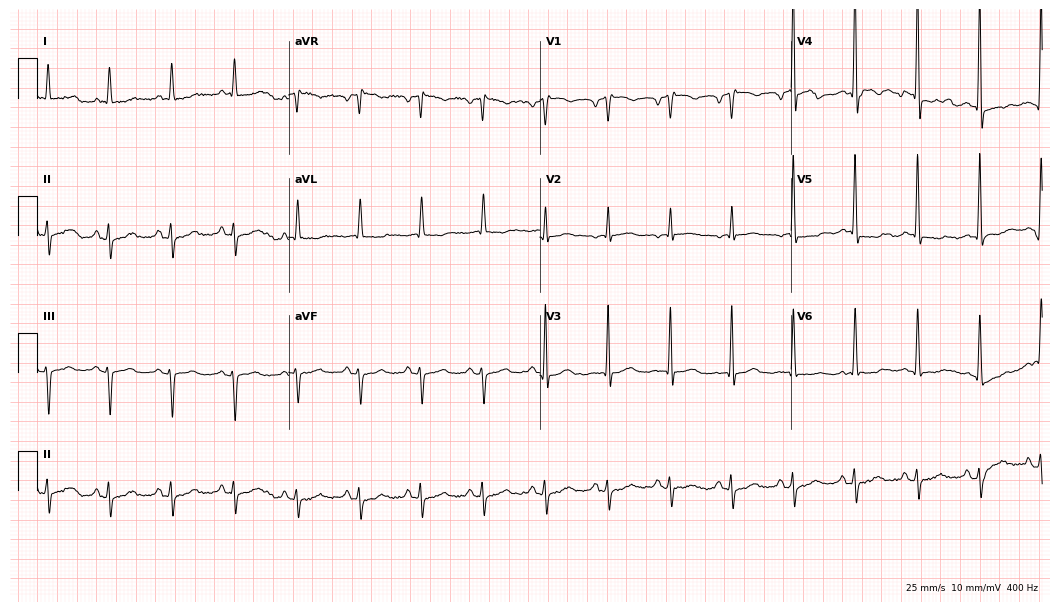
Electrocardiogram, an 82-year-old male patient. Overall reading on record: normal ECG.